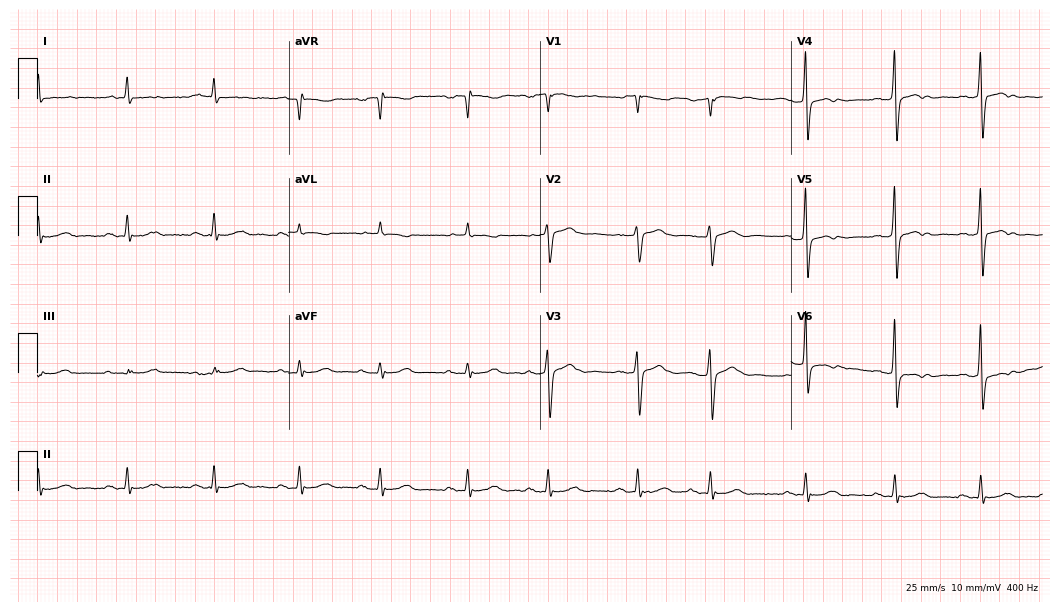
ECG (10.2-second recording at 400 Hz) — a male patient, 81 years old. Screened for six findings — first-degree AV block, right bundle branch block (RBBB), left bundle branch block (LBBB), sinus bradycardia, atrial fibrillation (AF), sinus tachycardia — none is recorded. Findings outside these six are not listed.